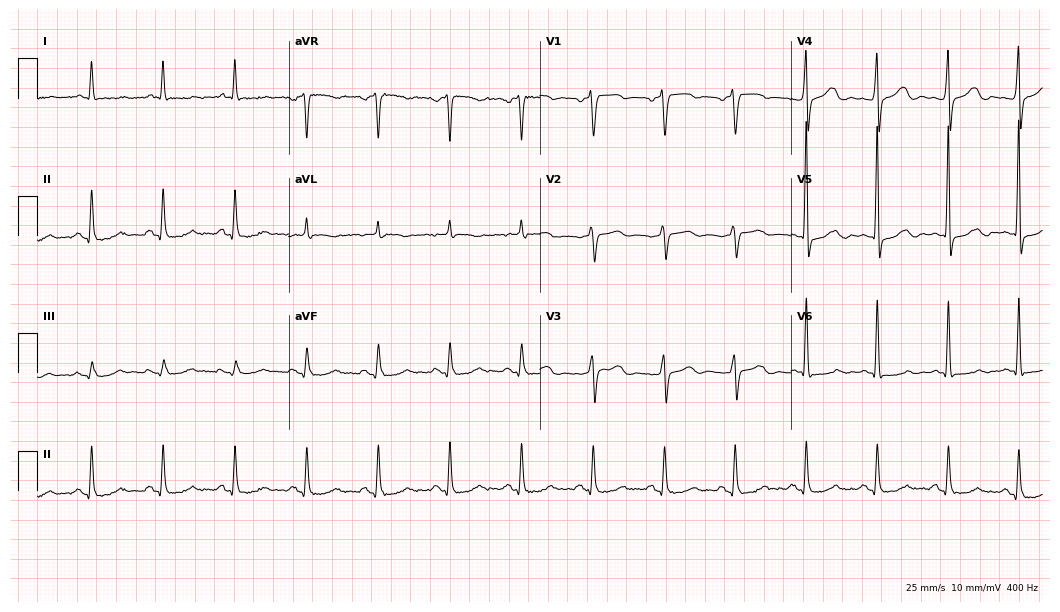
12-lead ECG from a female, 69 years old (10.2-second recording at 400 Hz). No first-degree AV block, right bundle branch block, left bundle branch block, sinus bradycardia, atrial fibrillation or sinus tachycardia recorded for this tracing. Only these six findings were labelled.